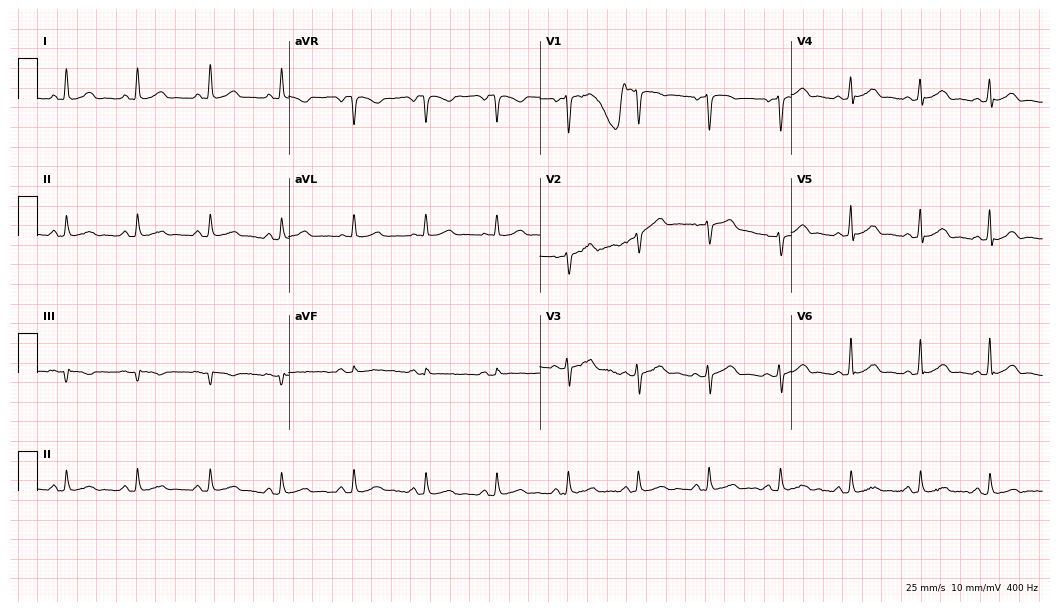
Electrocardiogram, a female, 48 years old. Overall reading on record: normal ECG.